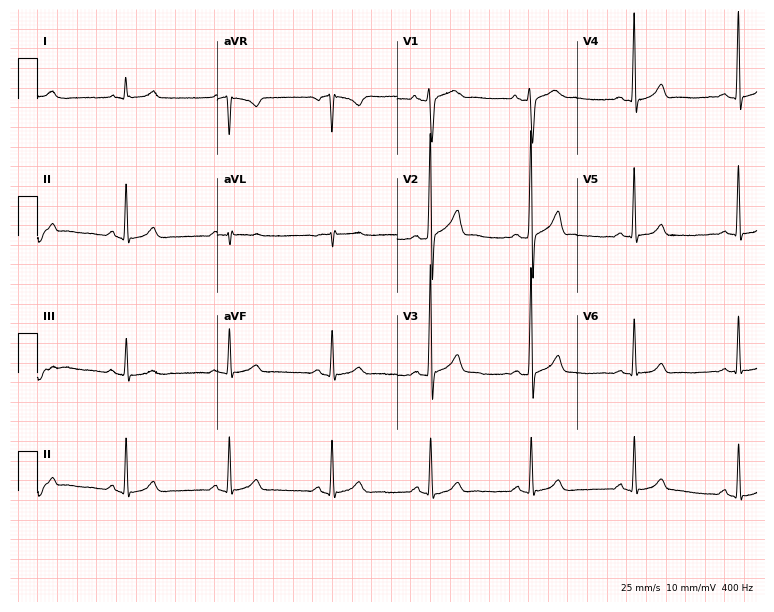
12-lead ECG (7.3-second recording at 400 Hz) from a 31-year-old man. Labelled as a normal ECG.